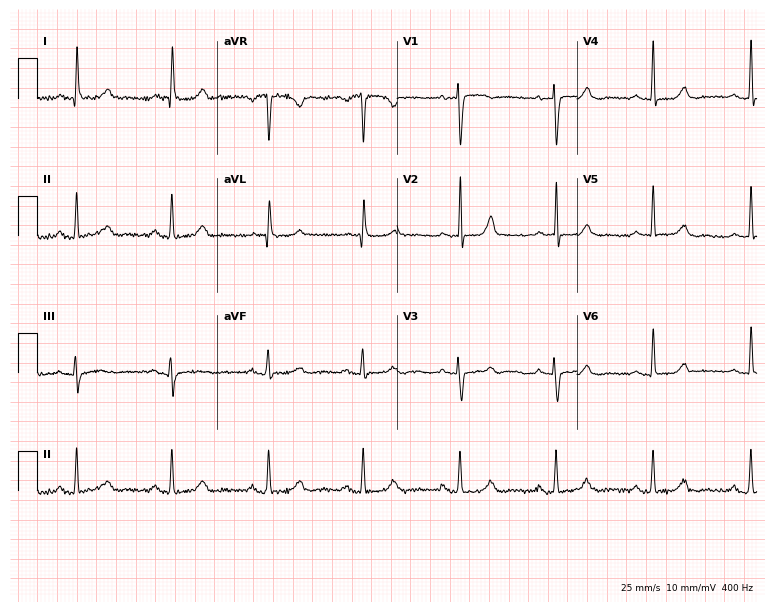
Standard 12-lead ECG recorded from a woman, 70 years old (7.3-second recording at 400 Hz). None of these six findings is recorded: first-degree AV block, right bundle branch block, left bundle branch block, sinus bradycardia, atrial fibrillation, sinus tachycardia. Other findings, if any, are not listed.